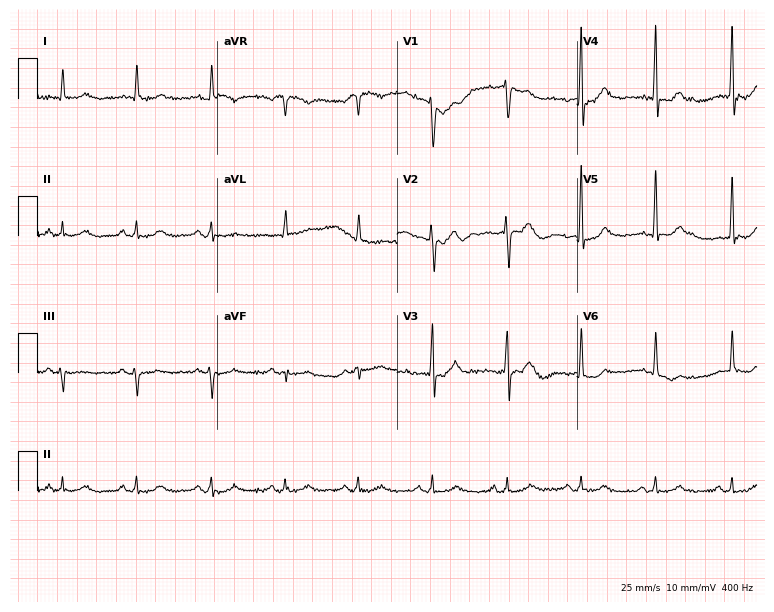
ECG — a 79-year-old male. Screened for six findings — first-degree AV block, right bundle branch block, left bundle branch block, sinus bradycardia, atrial fibrillation, sinus tachycardia — none is recorded.